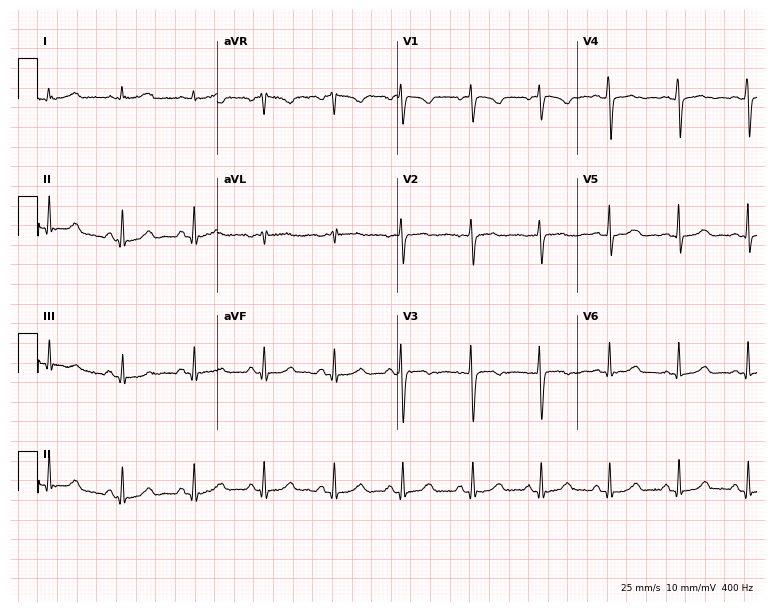
Resting 12-lead electrocardiogram (7.3-second recording at 400 Hz). Patient: a 39-year-old woman. Read as a normal ECG.